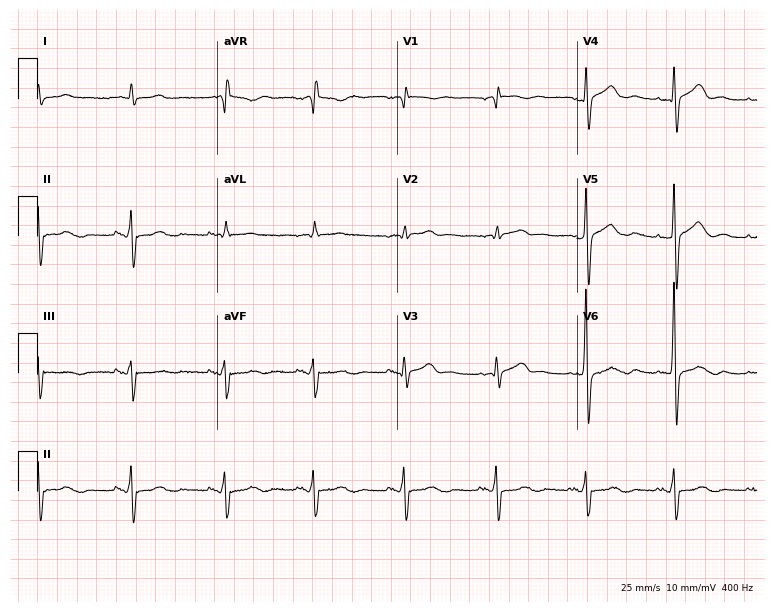
Resting 12-lead electrocardiogram. Patient: a male, 69 years old. None of these six findings is recorded: first-degree AV block, right bundle branch block, left bundle branch block, sinus bradycardia, atrial fibrillation, sinus tachycardia.